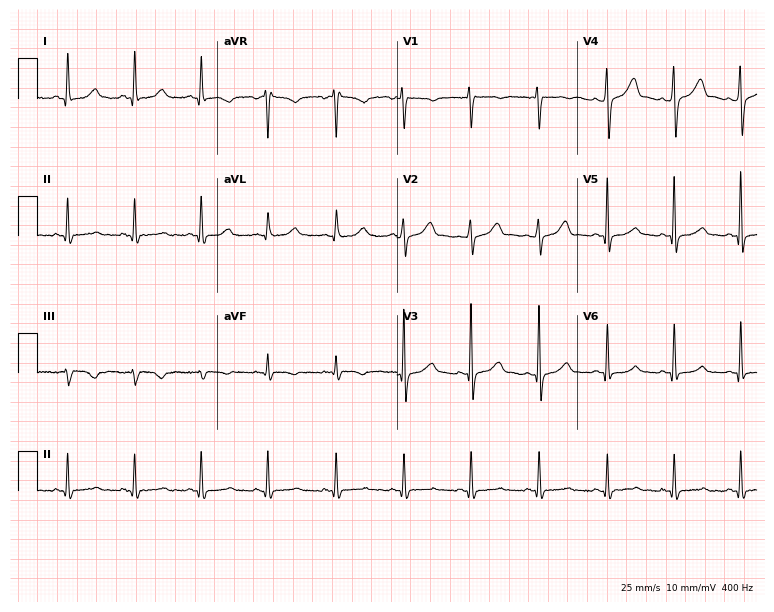
ECG (7.3-second recording at 400 Hz) — a 37-year-old female. Screened for six findings — first-degree AV block, right bundle branch block (RBBB), left bundle branch block (LBBB), sinus bradycardia, atrial fibrillation (AF), sinus tachycardia — none is recorded.